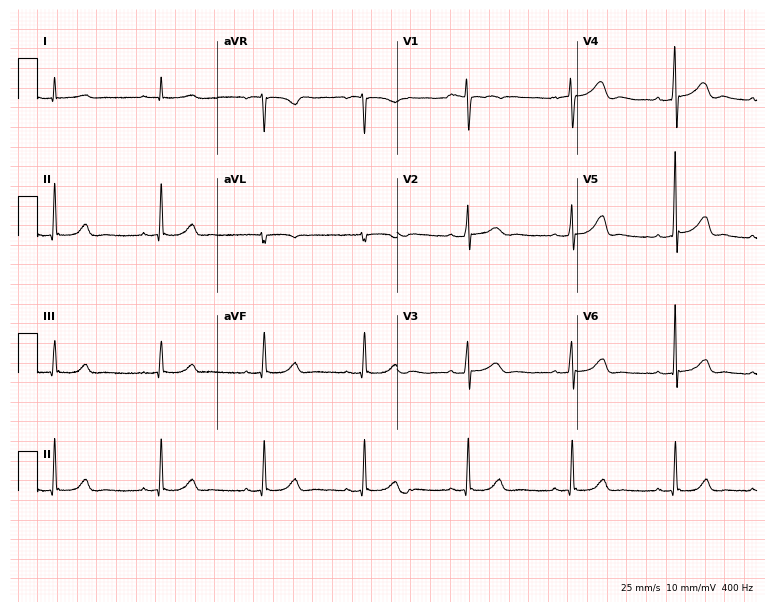
ECG — a female, 21 years old. Screened for six findings — first-degree AV block, right bundle branch block, left bundle branch block, sinus bradycardia, atrial fibrillation, sinus tachycardia — none is recorded.